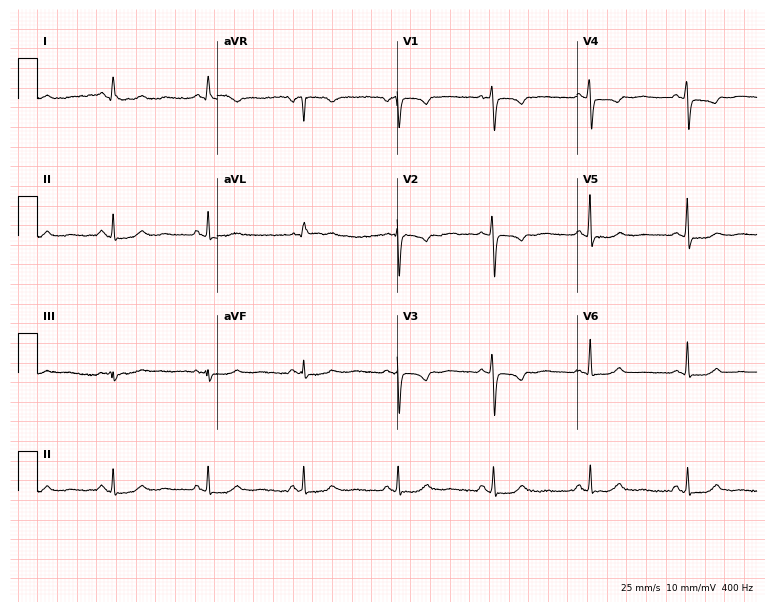
ECG — a 68-year-old female patient. Screened for six findings — first-degree AV block, right bundle branch block, left bundle branch block, sinus bradycardia, atrial fibrillation, sinus tachycardia — none is recorded.